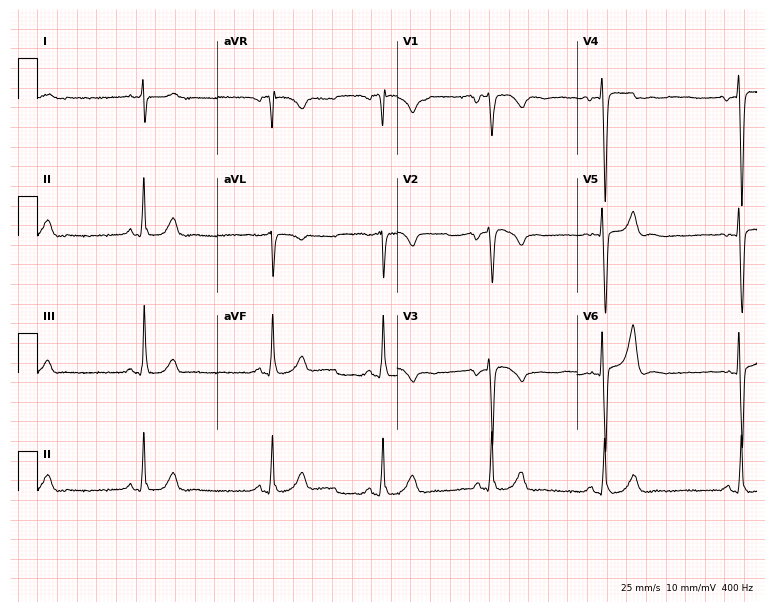
ECG (7.3-second recording at 400 Hz) — a 46-year-old man. Screened for six findings — first-degree AV block, right bundle branch block, left bundle branch block, sinus bradycardia, atrial fibrillation, sinus tachycardia — none is recorded. Findings outside these six are not listed.